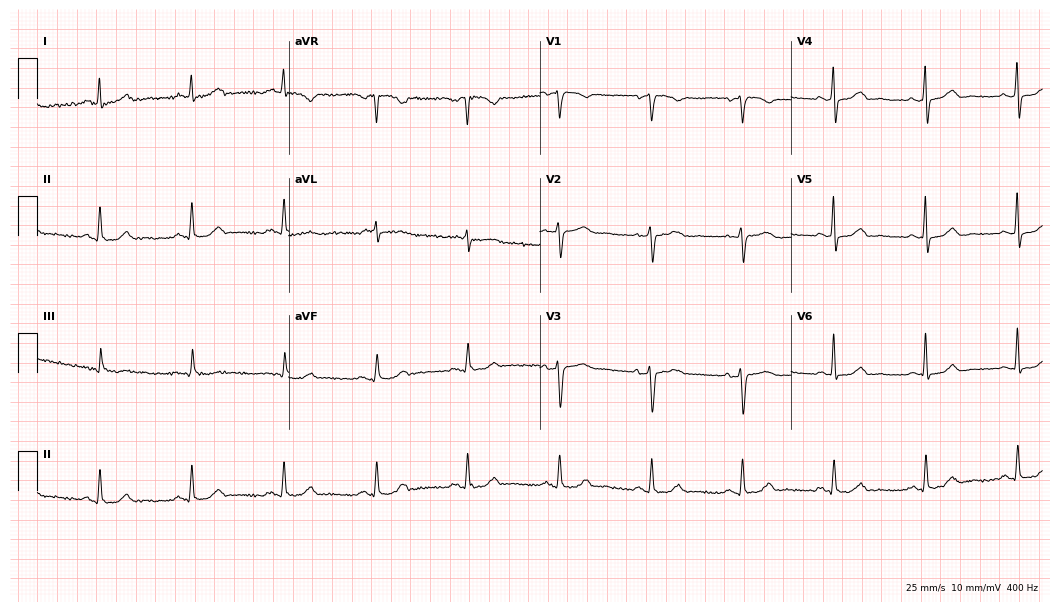
12-lead ECG from a 59-year-old woman (10.2-second recording at 400 Hz). Recorded interpretation: within normal limits.